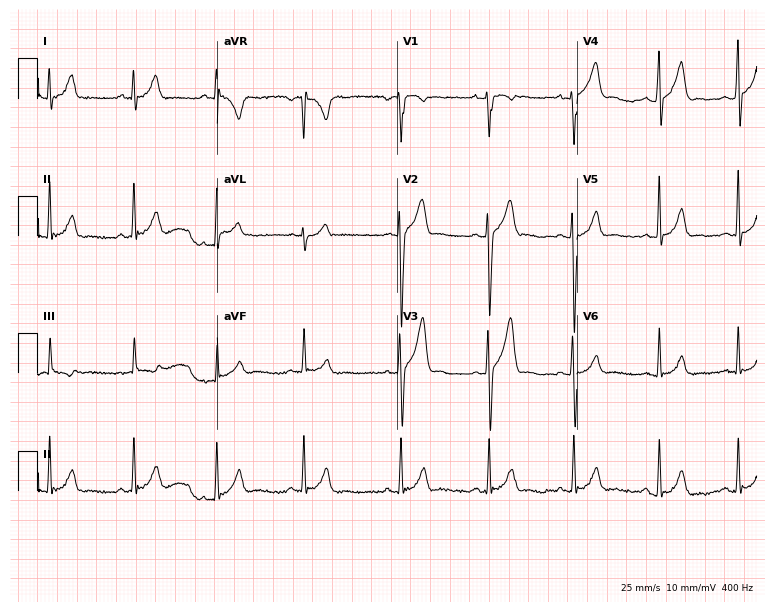
ECG (7.3-second recording at 400 Hz) — a 22-year-old male patient. Screened for six findings — first-degree AV block, right bundle branch block, left bundle branch block, sinus bradycardia, atrial fibrillation, sinus tachycardia — none is recorded. Only these six findings were labelled.